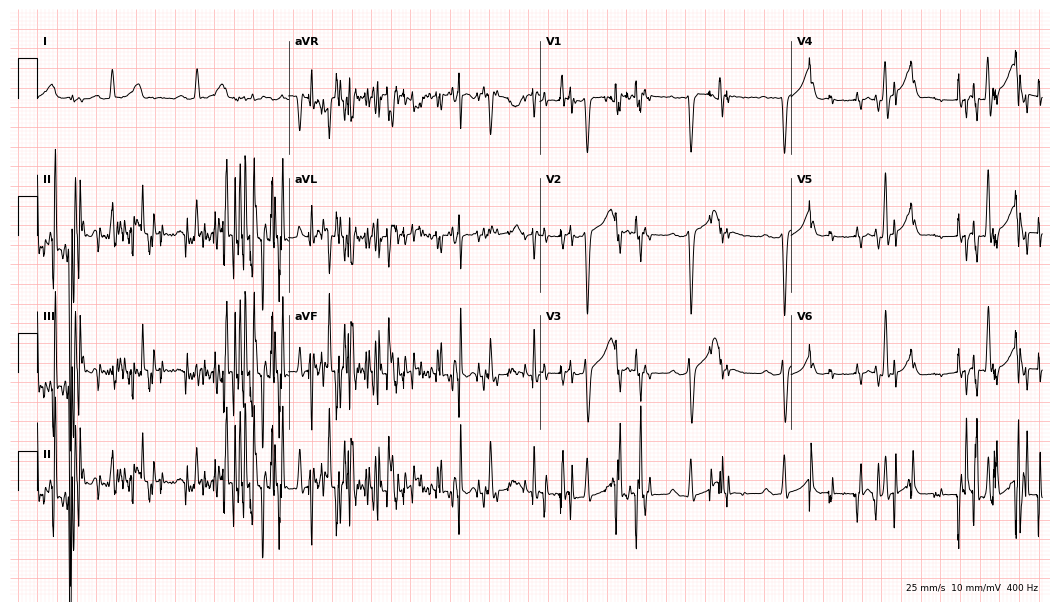
ECG — a man, 30 years old. Screened for six findings — first-degree AV block, right bundle branch block (RBBB), left bundle branch block (LBBB), sinus bradycardia, atrial fibrillation (AF), sinus tachycardia — none is recorded.